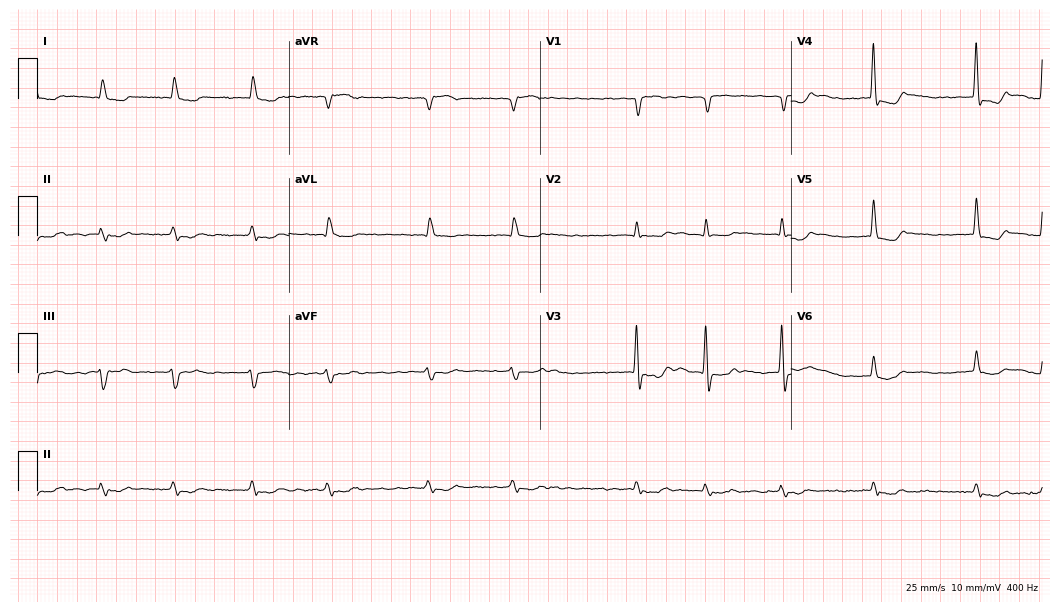
12-lead ECG (10.2-second recording at 400 Hz) from a 76-year-old female patient. Findings include atrial fibrillation.